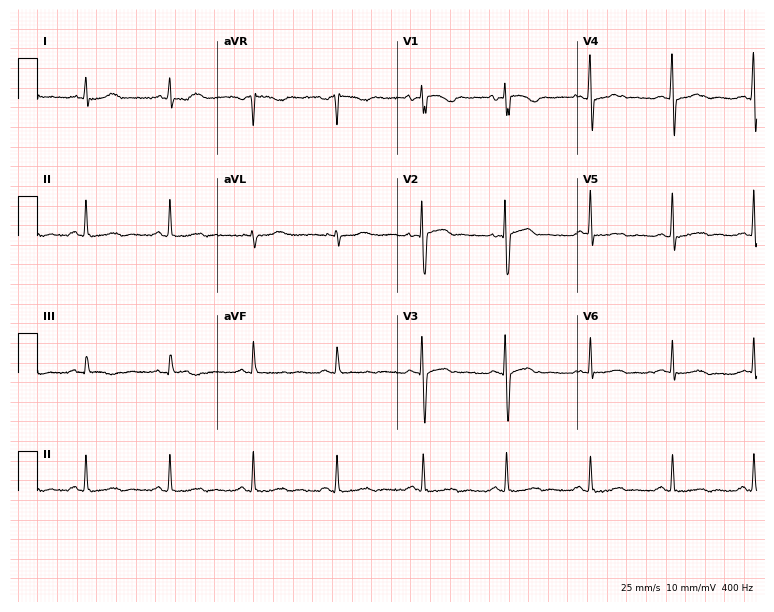
Standard 12-lead ECG recorded from a female patient, 57 years old (7.3-second recording at 400 Hz). None of these six findings is recorded: first-degree AV block, right bundle branch block (RBBB), left bundle branch block (LBBB), sinus bradycardia, atrial fibrillation (AF), sinus tachycardia.